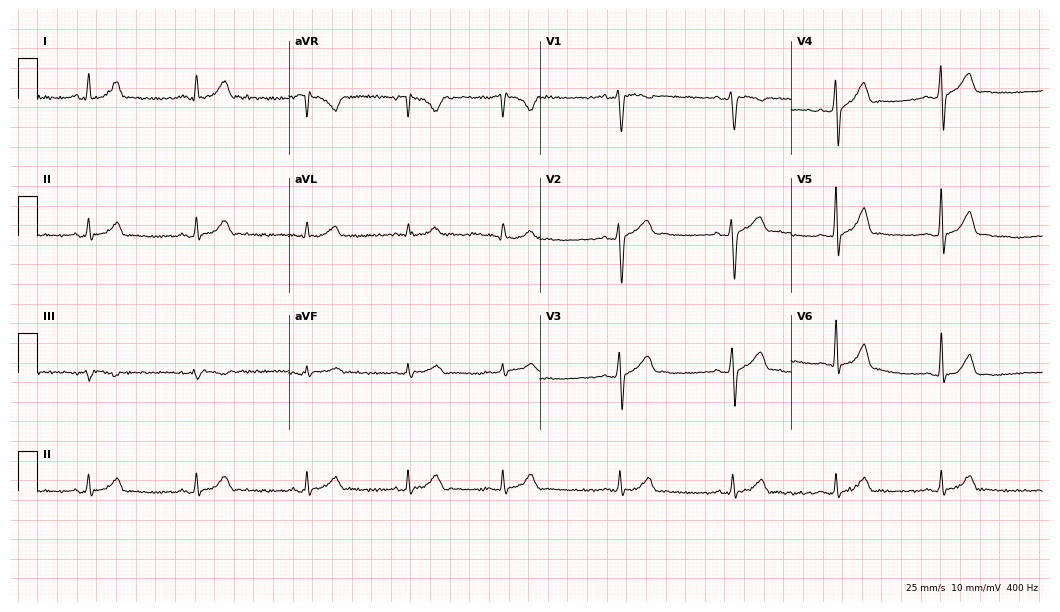
Standard 12-lead ECG recorded from a 27-year-old man. Read as a normal ECG.